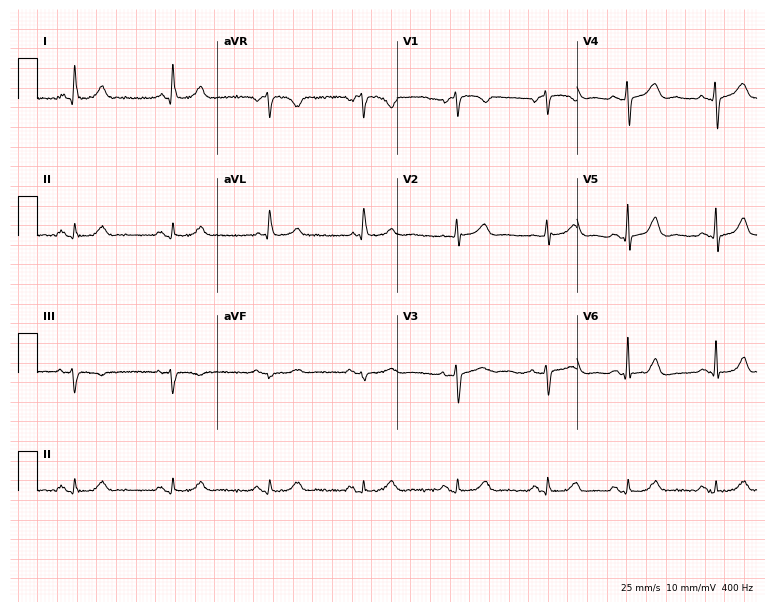
Standard 12-lead ECG recorded from a woman, 59 years old (7.3-second recording at 400 Hz). Read as a normal ECG.